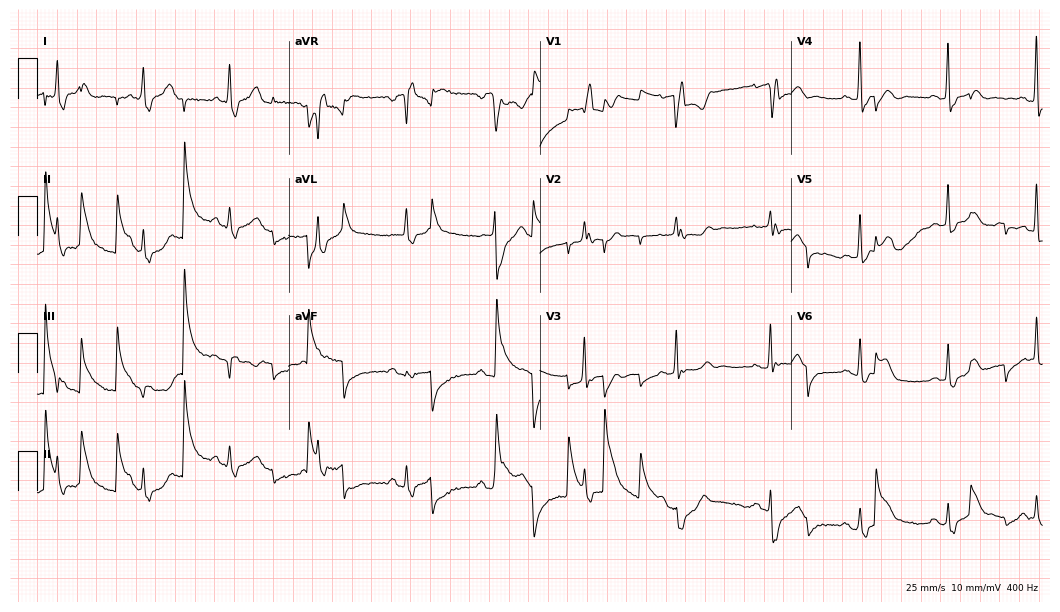
Electrocardiogram (10.2-second recording at 400 Hz), a woman, 80 years old. Of the six screened findings (first-degree AV block, right bundle branch block, left bundle branch block, sinus bradycardia, atrial fibrillation, sinus tachycardia), none is recorded. Only these six findings were labelled.